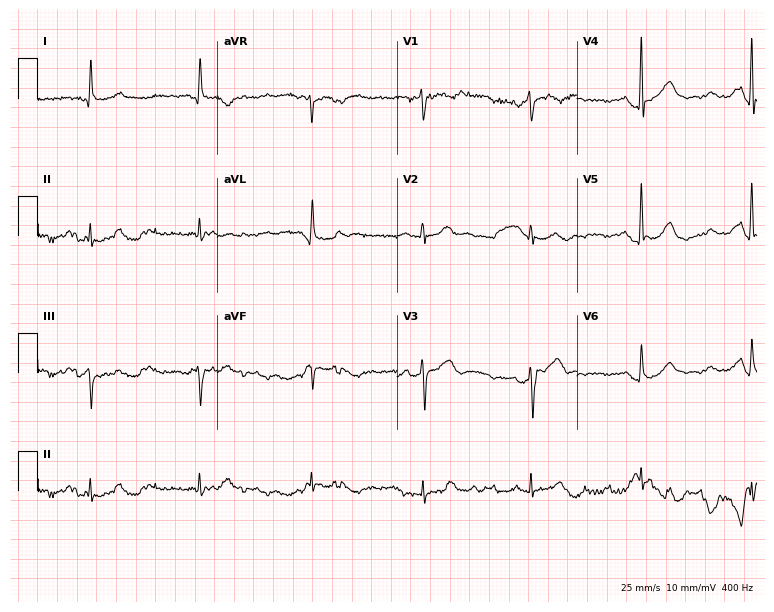
Electrocardiogram, a man, 75 years old. Overall reading on record: normal ECG.